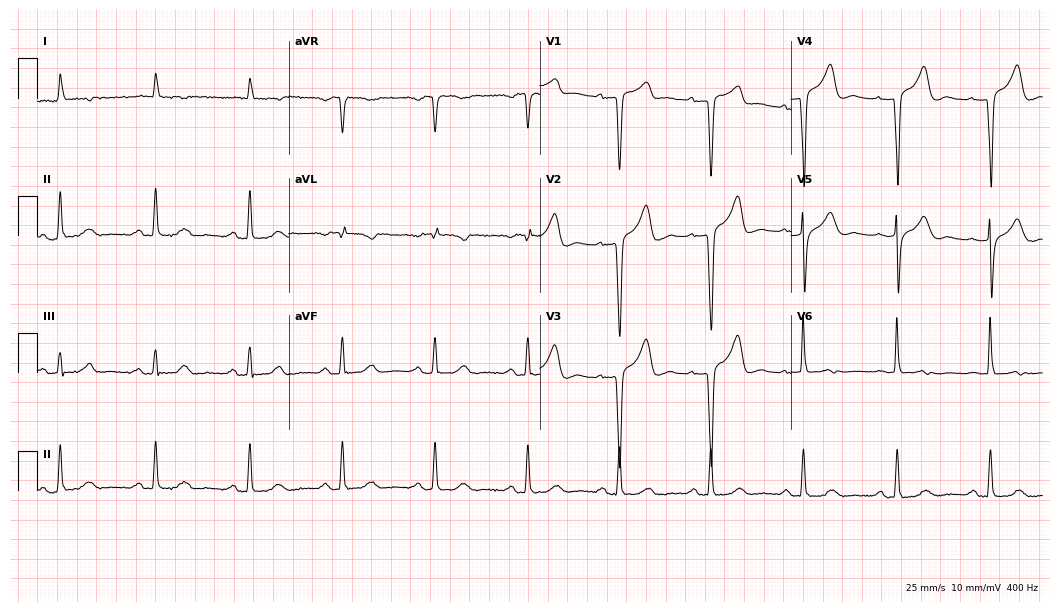
12-lead ECG from a 71-year-old male (10.2-second recording at 400 Hz). No first-degree AV block, right bundle branch block, left bundle branch block, sinus bradycardia, atrial fibrillation or sinus tachycardia recorded for this tracing.